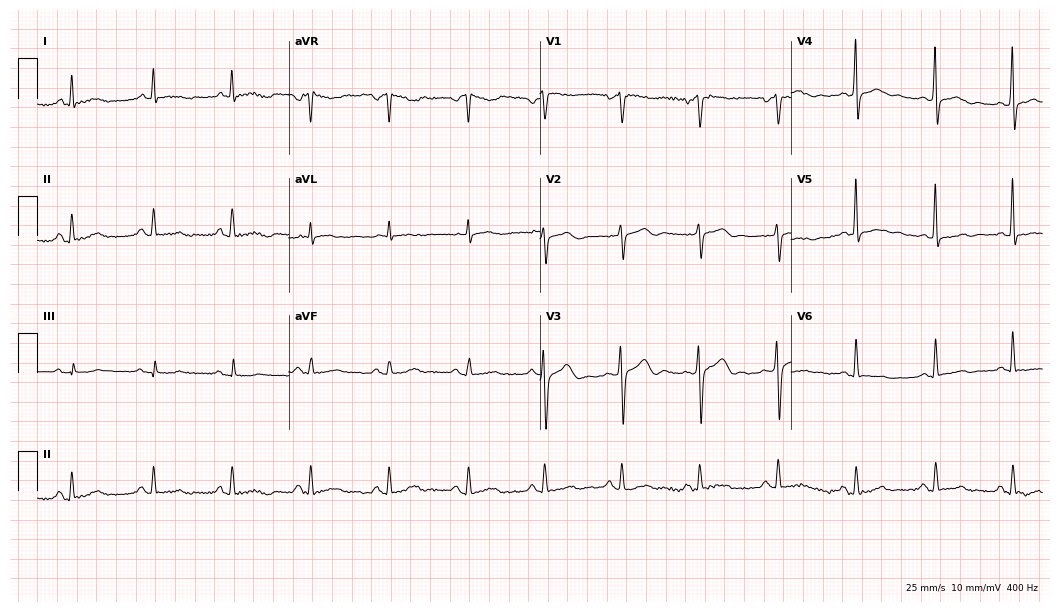
Electrocardiogram (10.2-second recording at 400 Hz), a man, 67 years old. Of the six screened findings (first-degree AV block, right bundle branch block (RBBB), left bundle branch block (LBBB), sinus bradycardia, atrial fibrillation (AF), sinus tachycardia), none is recorded. Findings outside these six are not listed.